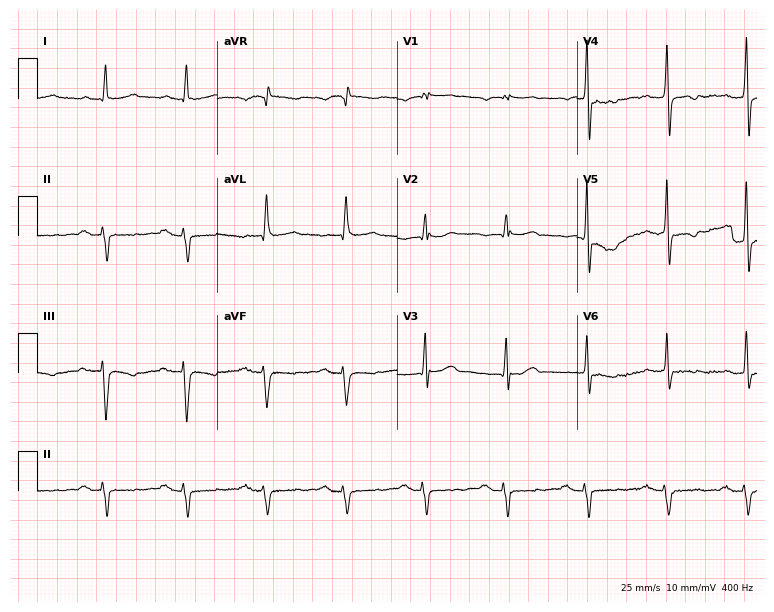
12-lead ECG (7.3-second recording at 400 Hz) from a 75-year-old male. Findings include first-degree AV block.